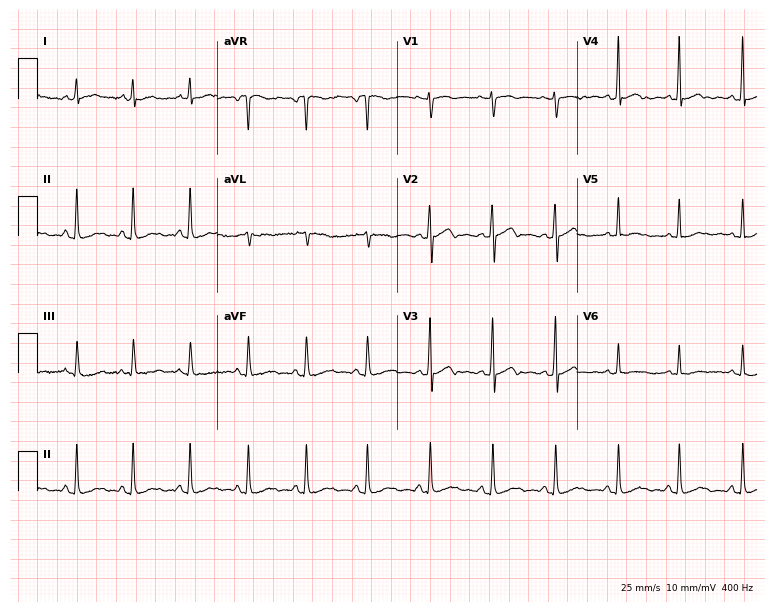
ECG (7.3-second recording at 400 Hz) — a female, 55 years old. Screened for six findings — first-degree AV block, right bundle branch block, left bundle branch block, sinus bradycardia, atrial fibrillation, sinus tachycardia — none is recorded. Other findings, if any, are not listed.